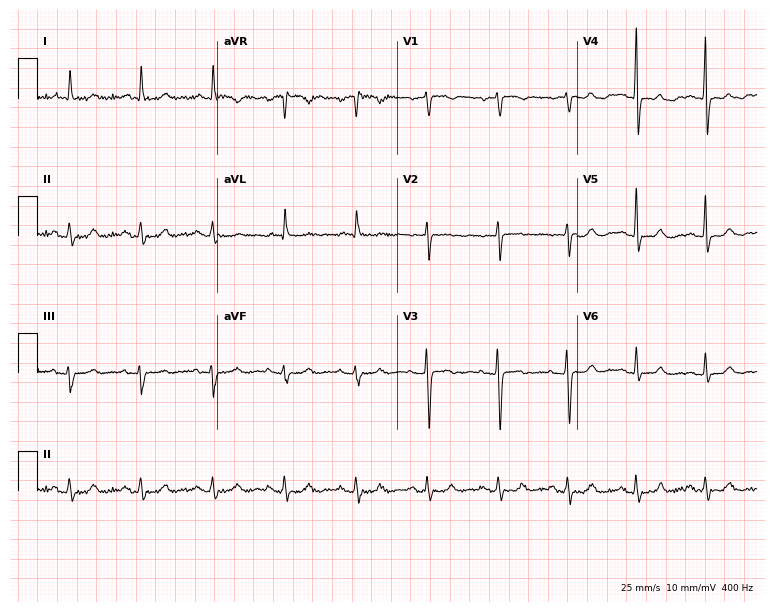
ECG (7.3-second recording at 400 Hz) — a 70-year-old woman. Screened for six findings — first-degree AV block, right bundle branch block, left bundle branch block, sinus bradycardia, atrial fibrillation, sinus tachycardia — none is recorded.